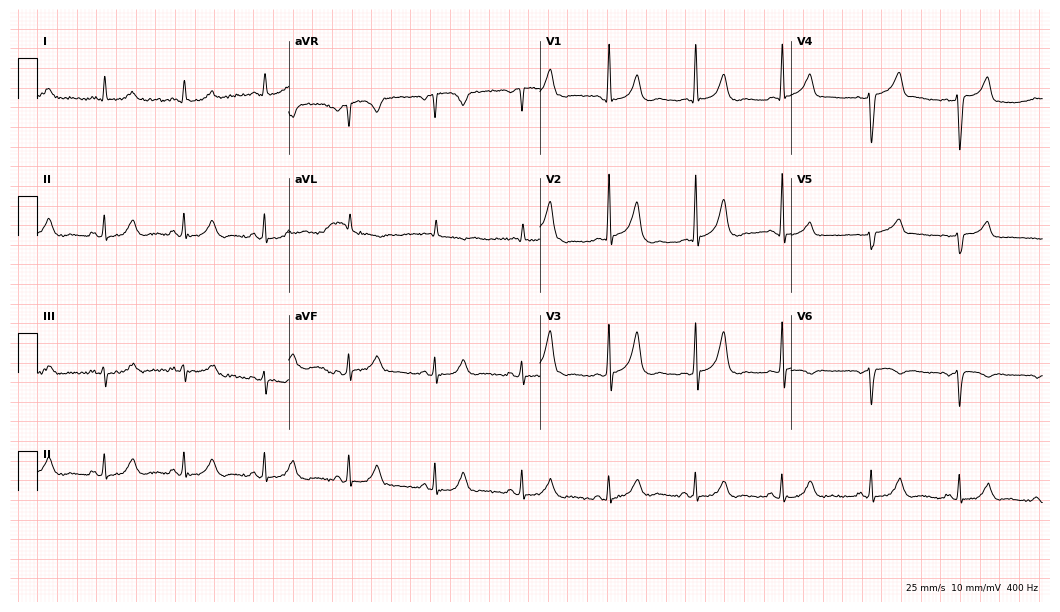
12-lead ECG from an 83-year-old male patient. Screened for six findings — first-degree AV block, right bundle branch block, left bundle branch block, sinus bradycardia, atrial fibrillation, sinus tachycardia — none is recorded. Only these six findings were labelled.